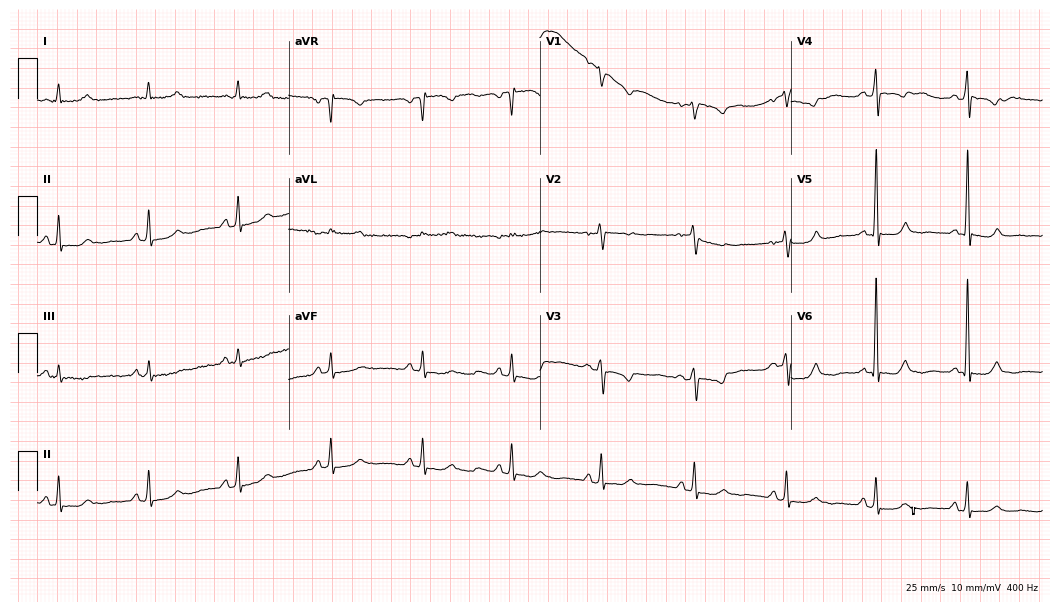
12-lead ECG from a 51-year-old woman. No first-degree AV block, right bundle branch block, left bundle branch block, sinus bradycardia, atrial fibrillation or sinus tachycardia recorded for this tracing. Other findings, if any, are not listed.